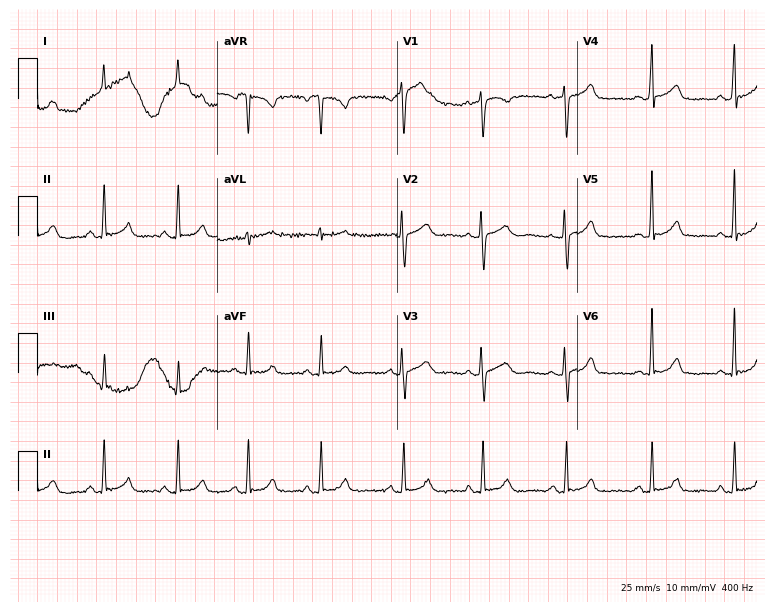
Resting 12-lead electrocardiogram (7.3-second recording at 400 Hz). Patient: a female, 41 years old. None of these six findings is recorded: first-degree AV block, right bundle branch block (RBBB), left bundle branch block (LBBB), sinus bradycardia, atrial fibrillation (AF), sinus tachycardia.